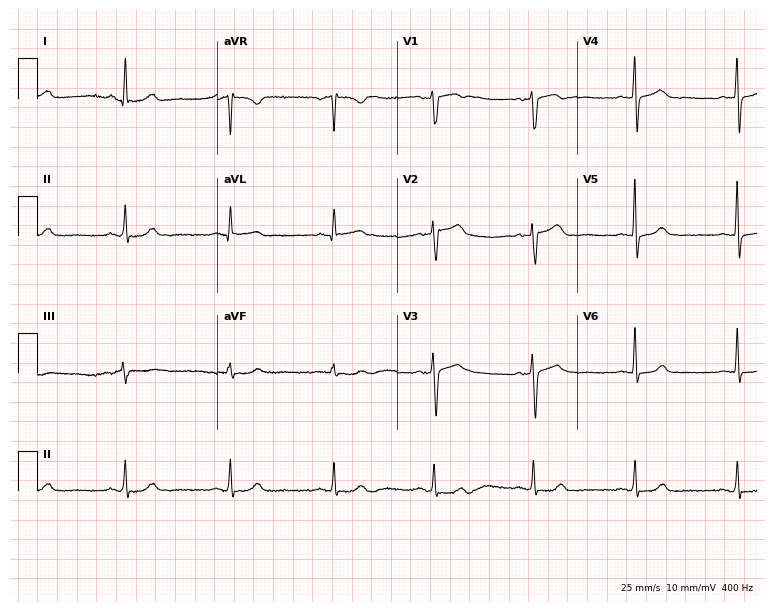
12-lead ECG from a female patient, 62 years old (7.3-second recording at 400 Hz). No first-degree AV block, right bundle branch block, left bundle branch block, sinus bradycardia, atrial fibrillation or sinus tachycardia recorded for this tracing. Findings outside these six are not listed.